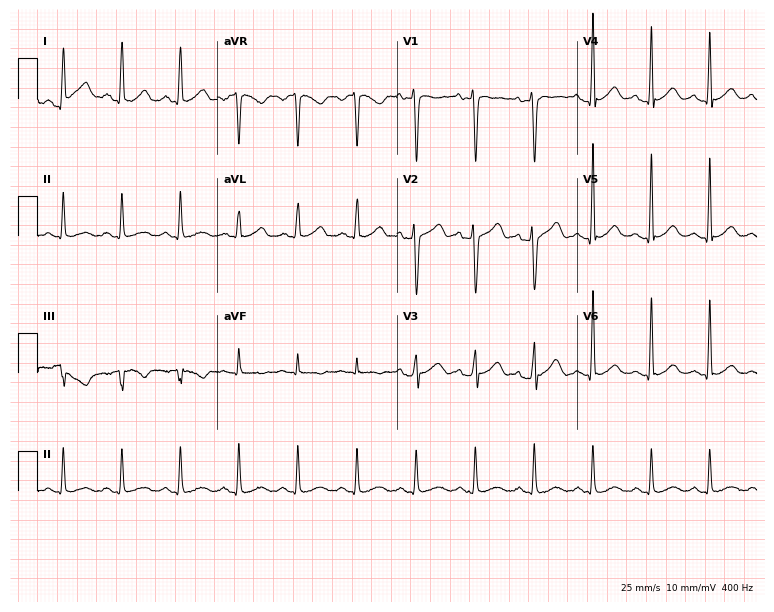
12-lead ECG (7.3-second recording at 400 Hz) from a 44-year-old female patient. Labelled as a normal ECG.